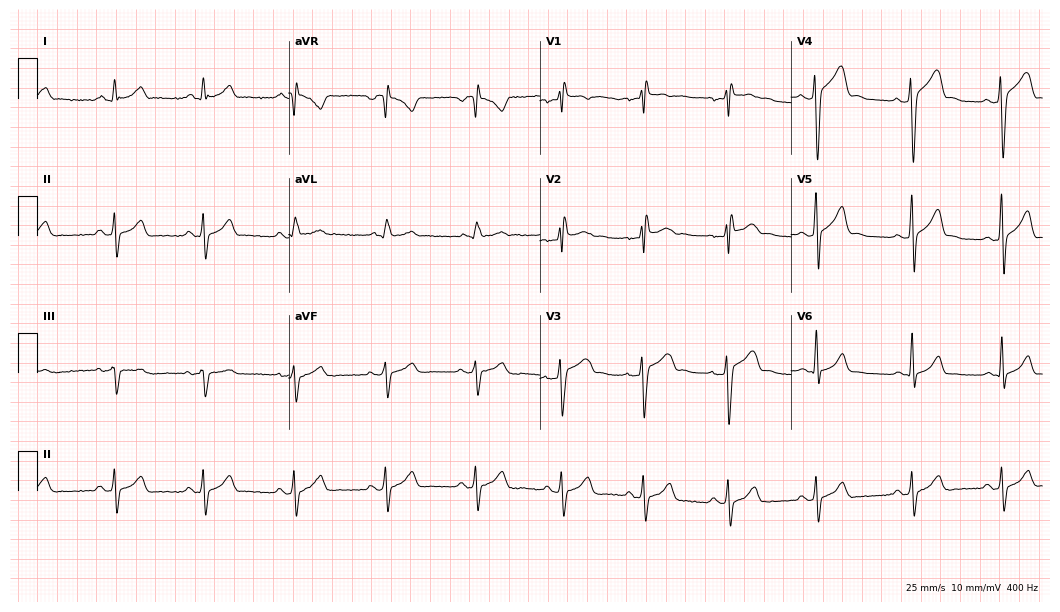
Standard 12-lead ECG recorded from a man, 30 years old (10.2-second recording at 400 Hz). None of these six findings is recorded: first-degree AV block, right bundle branch block, left bundle branch block, sinus bradycardia, atrial fibrillation, sinus tachycardia. Other findings, if any, are not listed.